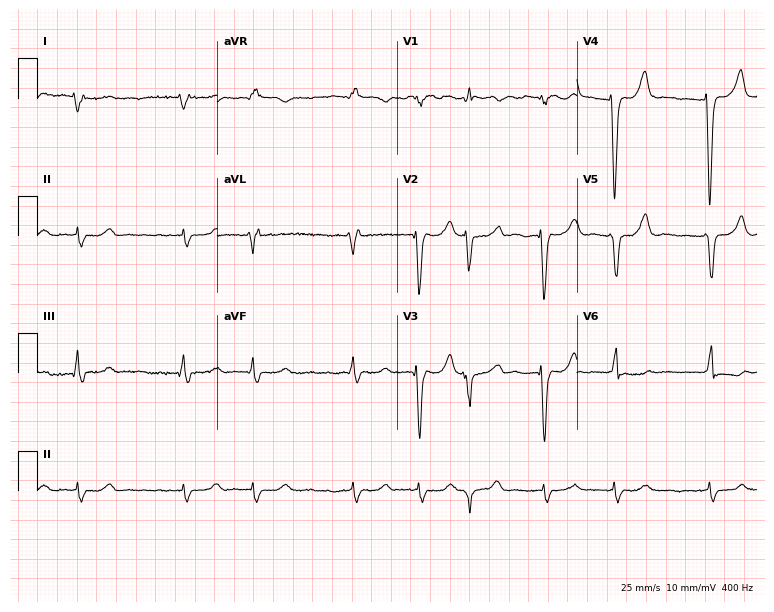
Electrocardiogram, a 73-year-old female. Interpretation includes atrial fibrillation (AF).